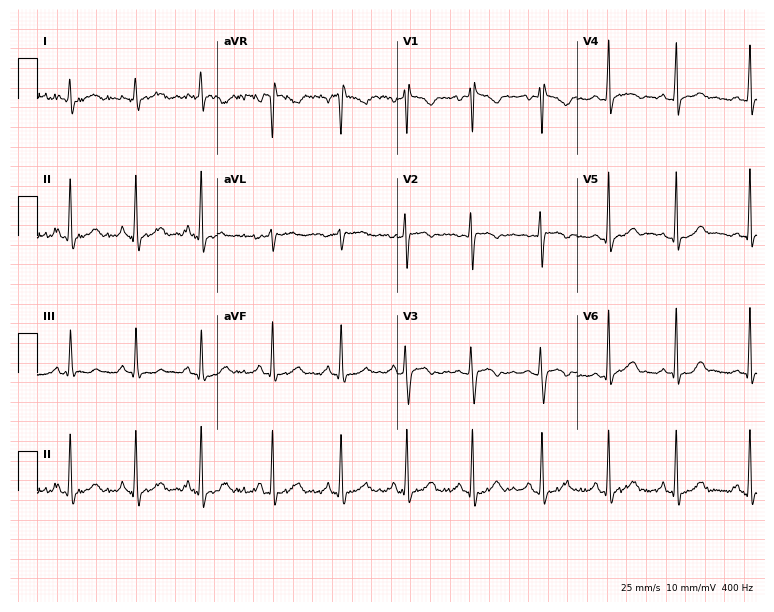
12-lead ECG from a female patient, 27 years old (7.3-second recording at 400 Hz). No first-degree AV block, right bundle branch block (RBBB), left bundle branch block (LBBB), sinus bradycardia, atrial fibrillation (AF) or sinus tachycardia recorded for this tracing. Other findings, if any, are not listed.